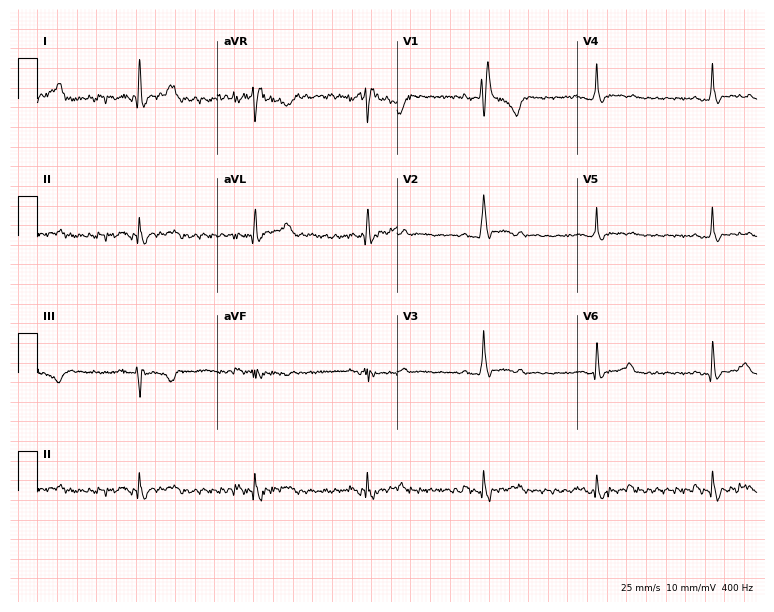
ECG (7.3-second recording at 400 Hz) — a man, 44 years old. Findings include right bundle branch block.